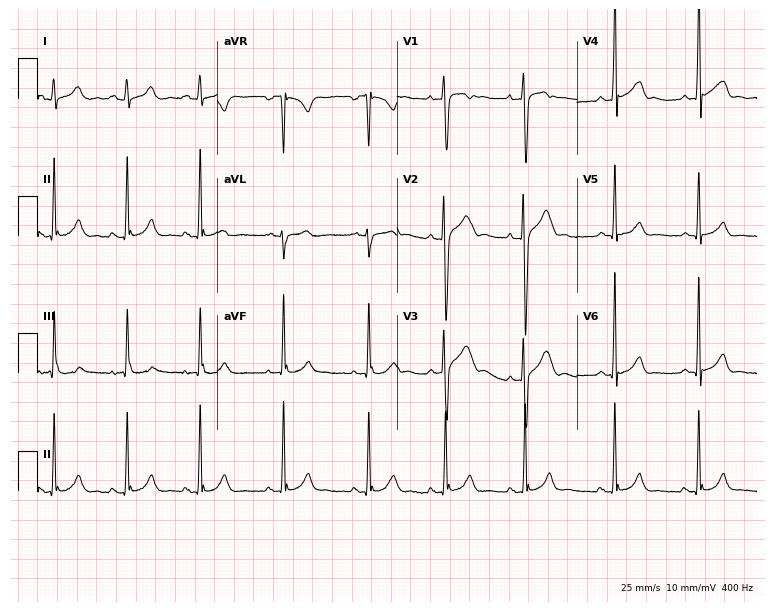
12-lead ECG (7.3-second recording at 400 Hz) from a male patient, 18 years old. Labelled as a normal ECG.